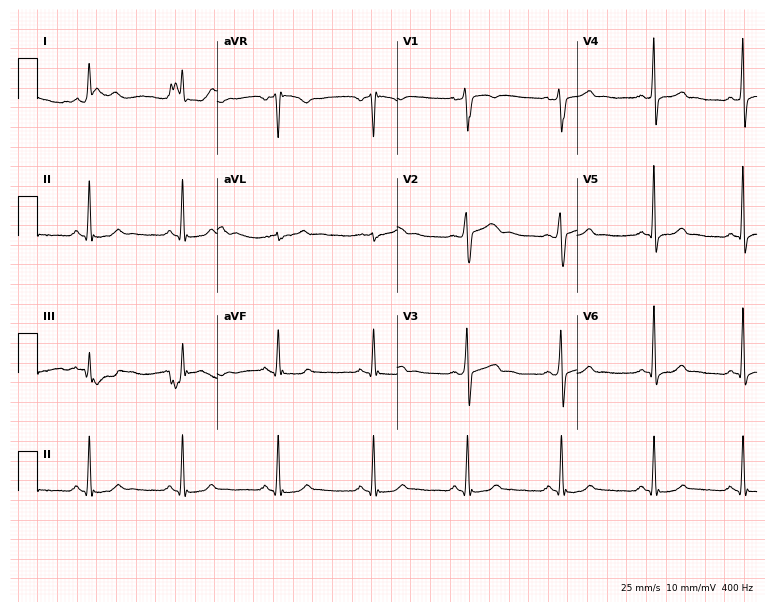
12-lead ECG from a male patient, 32 years old (7.3-second recording at 400 Hz). No first-degree AV block, right bundle branch block, left bundle branch block, sinus bradycardia, atrial fibrillation or sinus tachycardia recorded for this tracing.